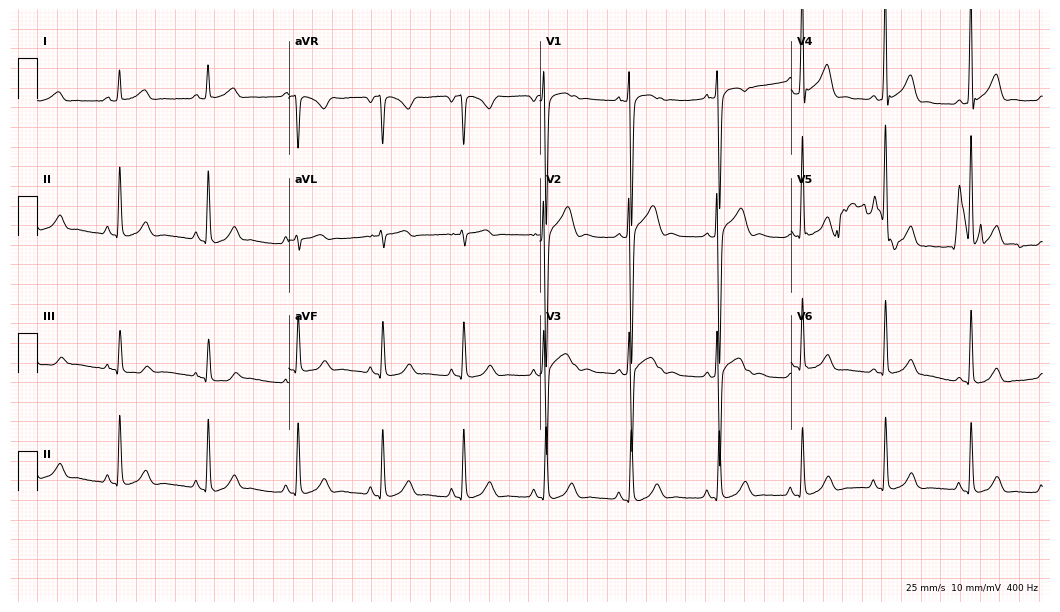
12-lead ECG from a male patient, 38 years old. No first-degree AV block, right bundle branch block, left bundle branch block, sinus bradycardia, atrial fibrillation or sinus tachycardia recorded for this tracing.